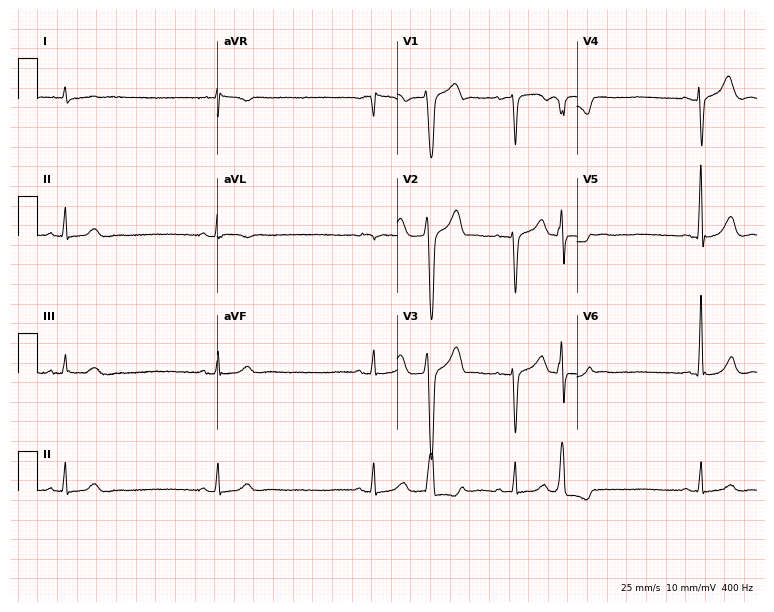
12-lead ECG from a male, 84 years old (7.3-second recording at 400 Hz). Shows sinus bradycardia (a sinus rate of 50 beats per minute or less).